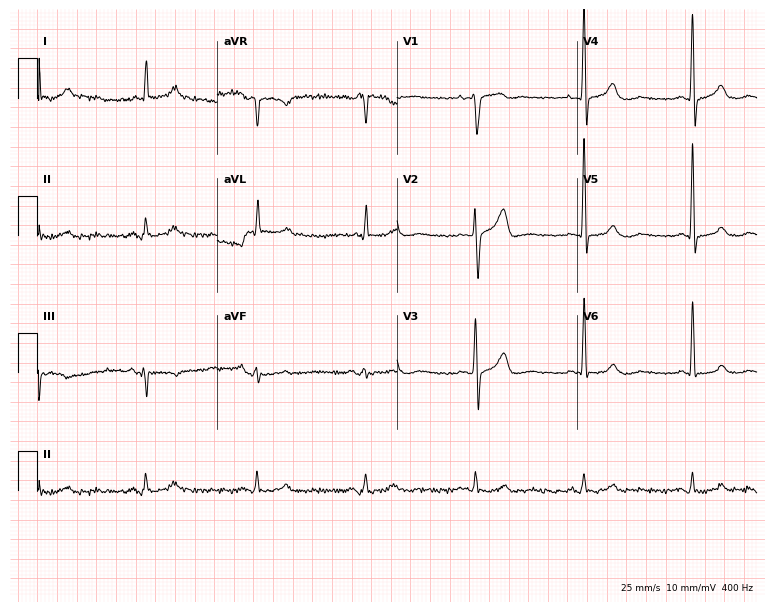
Electrocardiogram (7.3-second recording at 400 Hz), a 65-year-old male patient. Of the six screened findings (first-degree AV block, right bundle branch block, left bundle branch block, sinus bradycardia, atrial fibrillation, sinus tachycardia), none is recorded. Findings outside these six are not listed.